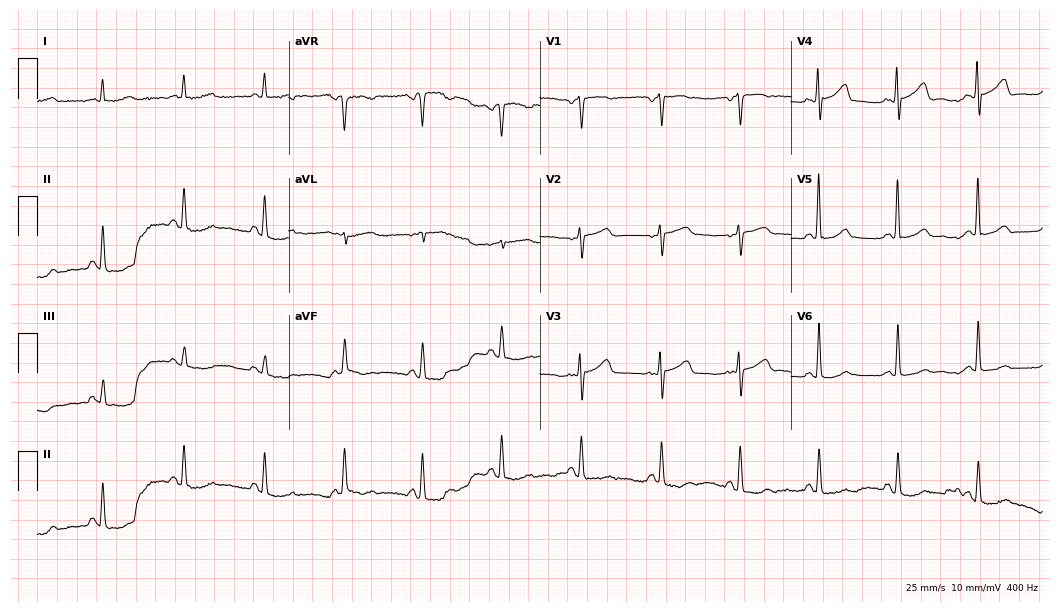
12-lead ECG (10.2-second recording at 400 Hz) from a female patient, 64 years old. Screened for six findings — first-degree AV block, right bundle branch block, left bundle branch block, sinus bradycardia, atrial fibrillation, sinus tachycardia — none is recorded.